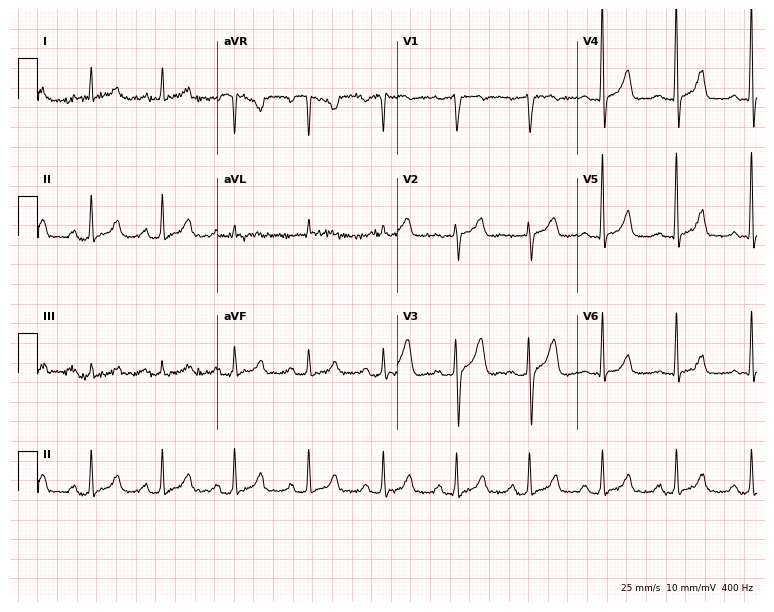
12-lead ECG from a 51-year-old male patient. Screened for six findings — first-degree AV block, right bundle branch block, left bundle branch block, sinus bradycardia, atrial fibrillation, sinus tachycardia — none is recorded.